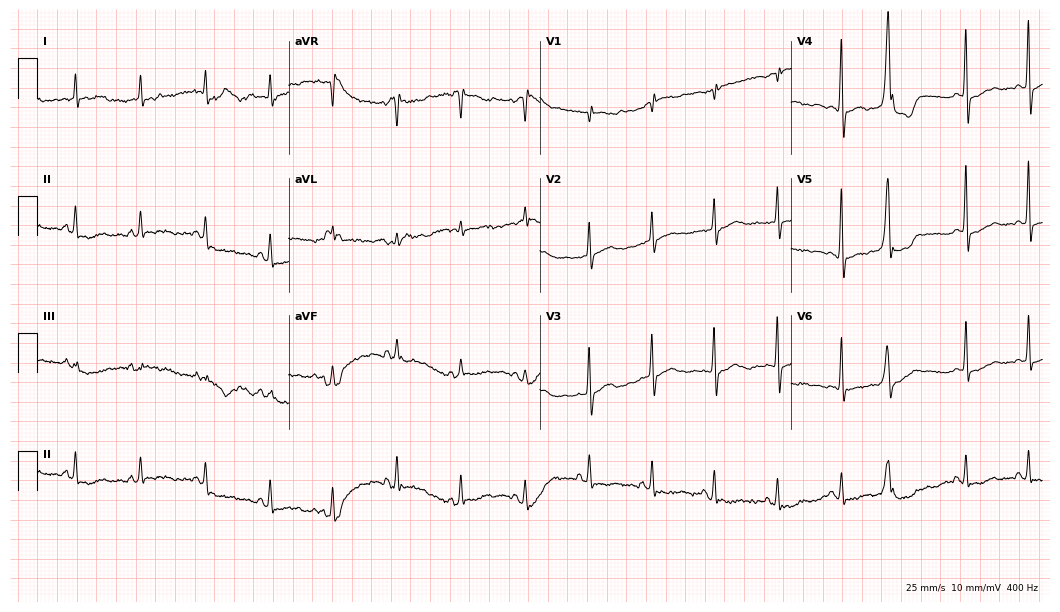
12-lead ECG from a man, 72 years old. No first-degree AV block, right bundle branch block, left bundle branch block, sinus bradycardia, atrial fibrillation or sinus tachycardia recorded for this tracing. Only these six findings were labelled.